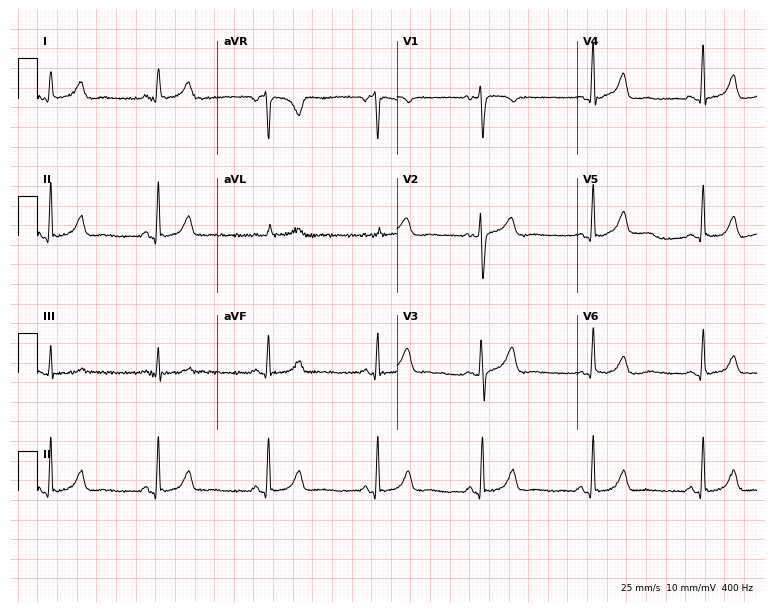
12-lead ECG from a 53-year-old female. Labelled as a normal ECG.